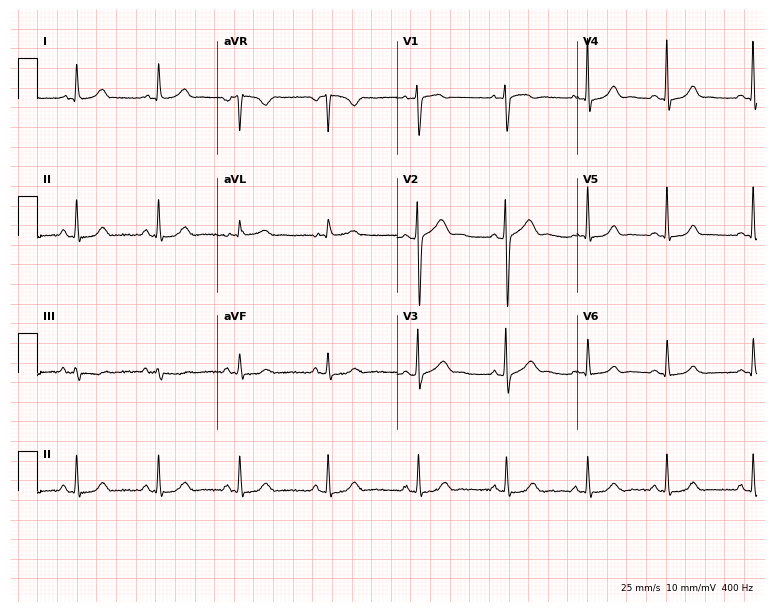
12-lead ECG from a 20-year-old woman (7.3-second recording at 400 Hz). Recorded interpretation: within normal limits.